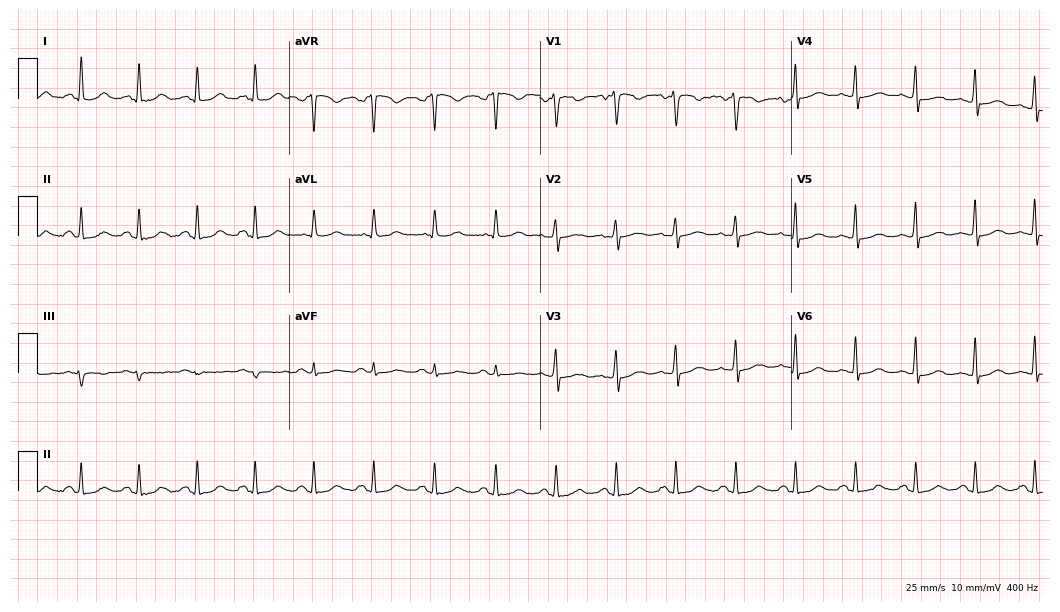
12-lead ECG from a female patient, 46 years old. Screened for six findings — first-degree AV block, right bundle branch block (RBBB), left bundle branch block (LBBB), sinus bradycardia, atrial fibrillation (AF), sinus tachycardia — none is recorded. Findings outside these six are not listed.